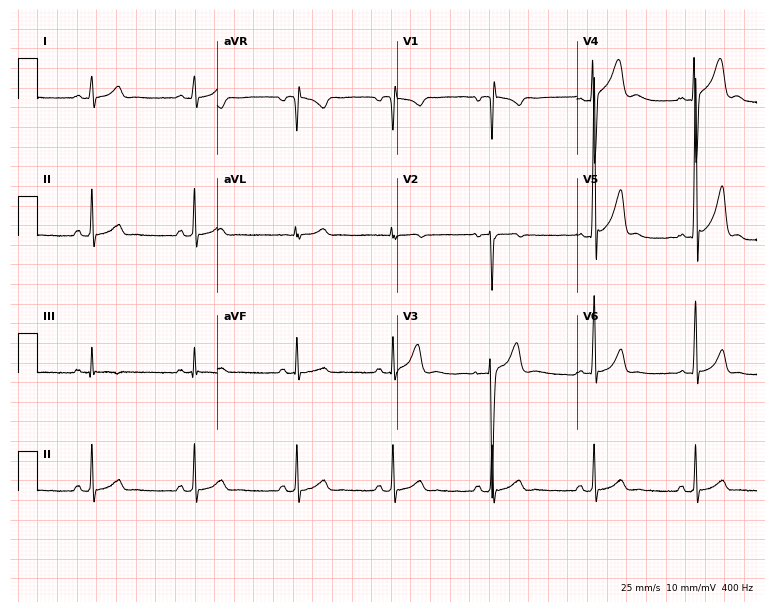
Electrocardiogram, a 30-year-old male. Of the six screened findings (first-degree AV block, right bundle branch block (RBBB), left bundle branch block (LBBB), sinus bradycardia, atrial fibrillation (AF), sinus tachycardia), none is recorded. Findings outside these six are not listed.